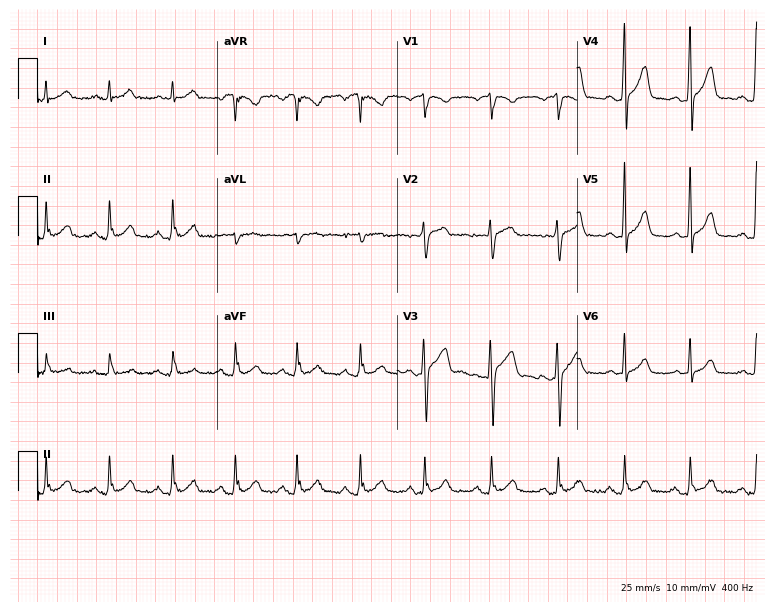
Resting 12-lead electrocardiogram. Patient: a 60-year-old man. None of these six findings is recorded: first-degree AV block, right bundle branch block, left bundle branch block, sinus bradycardia, atrial fibrillation, sinus tachycardia. Other findings, if any, are not listed.